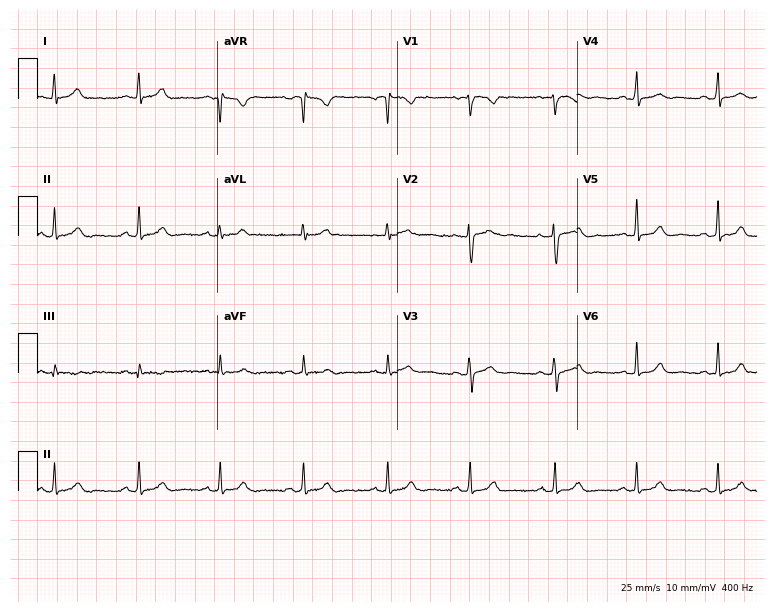
Electrocardiogram, a 33-year-old female. Overall reading on record: normal ECG.